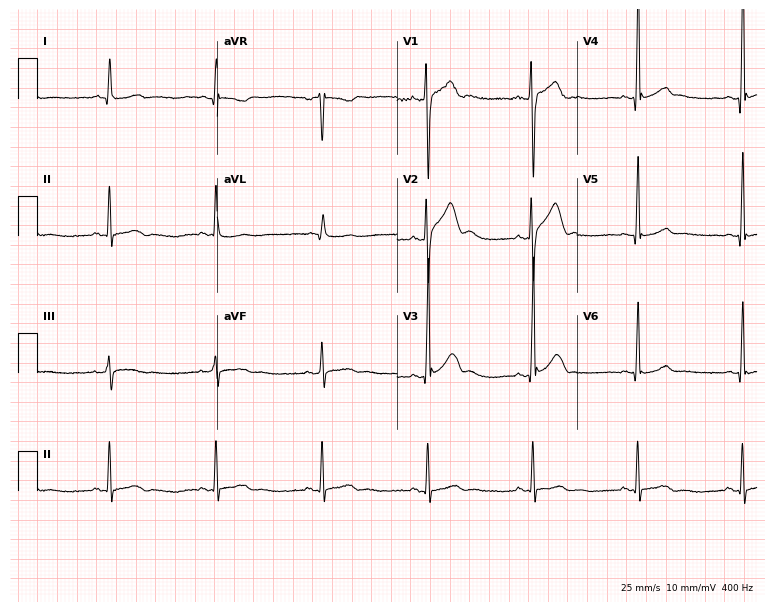
Resting 12-lead electrocardiogram (7.3-second recording at 400 Hz). Patient: a male, 23 years old. Read as a normal ECG.